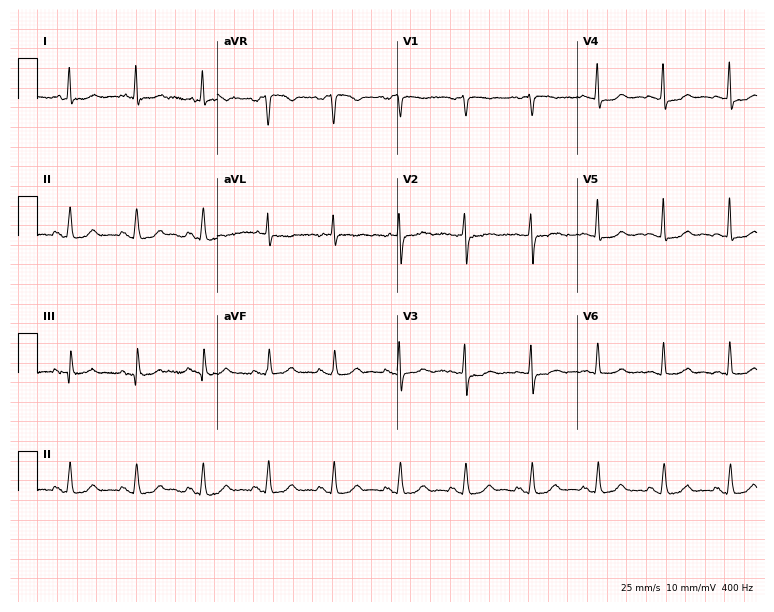
Resting 12-lead electrocardiogram (7.3-second recording at 400 Hz). Patient: a 58-year-old female. None of these six findings is recorded: first-degree AV block, right bundle branch block, left bundle branch block, sinus bradycardia, atrial fibrillation, sinus tachycardia. Findings outside these six are not listed.